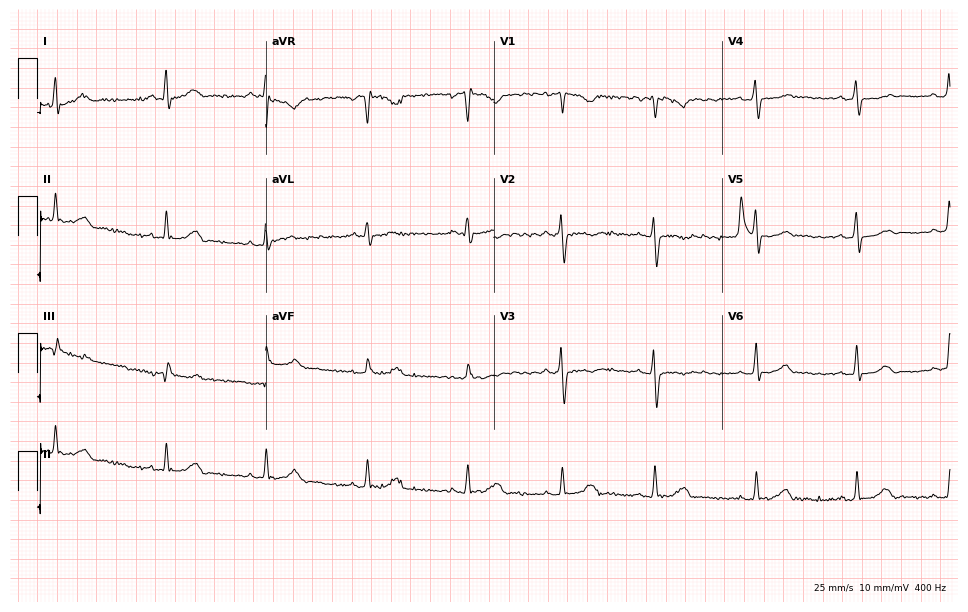
Resting 12-lead electrocardiogram (9.3-second recording at 400 Hz). Patient: a woman, 33 years old. None of these six findings is recorded: first-degree AV block, right bundle branch block, left bundle branch block, sinus bradycardia, atrial fibrillation, sinus tachycardia. Only these six findings were labelled.